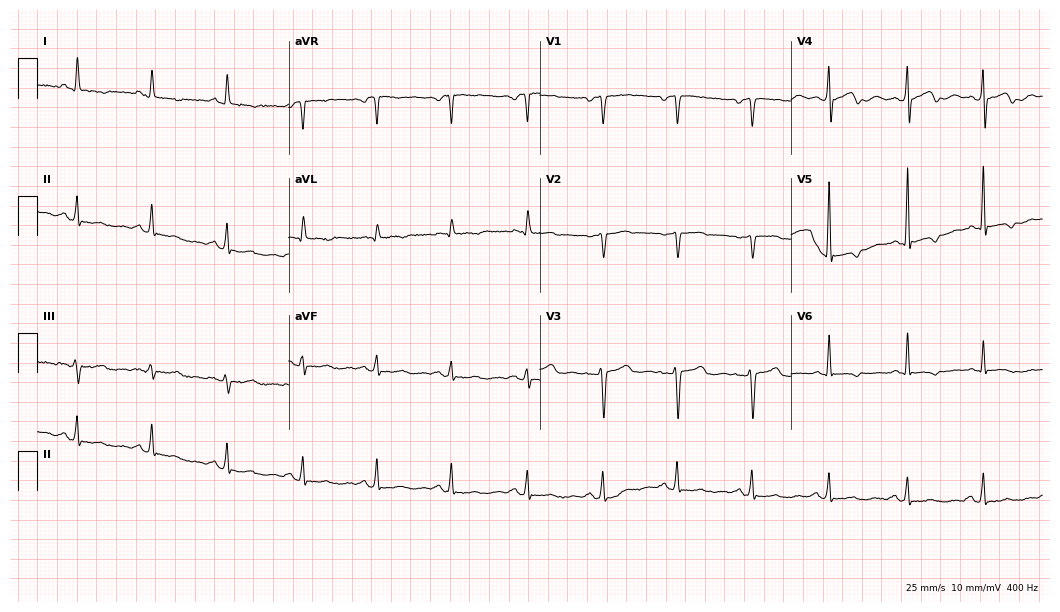
12-lead ECG from a 49-year-old woman. Screened for six findings — first-degree AV block, right bundle branch block (RBBB), left bundle branch block (LBBB), sinus bradycardia, atrial fibrillation (AF), sinus tachycardia — none is recorded.